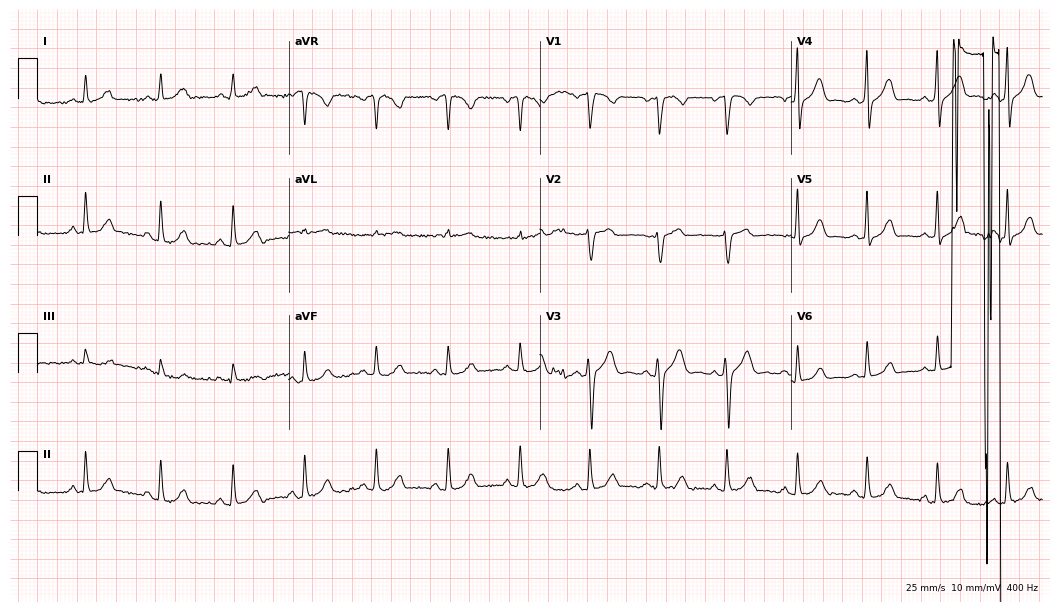
Resting 12-lead electrocardiogram. Patient: a female, 40 years old. None of these six findings is recorded: first-degree AV block, right bundle branch block (RBBB), left bundle branch block (LBBB), sinus bradycardia, atrial fibrillation (AF), sinus tachycardia. Other findings, if any, are not listed.